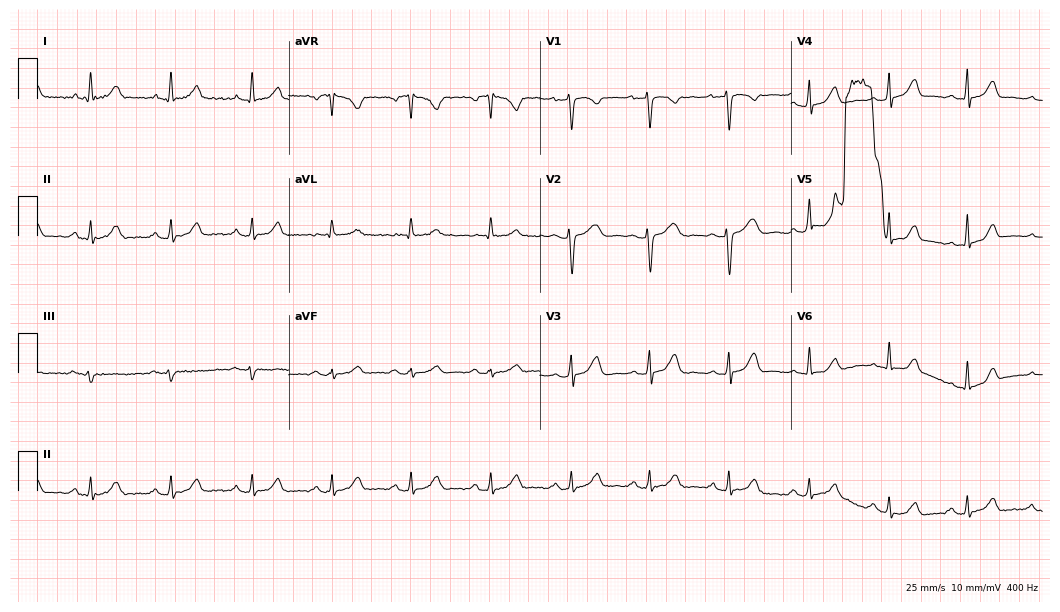
Standard 12-lead ECG recorded from a female, 38 years old (10.2-second recording at 400 Hz). Read as a normal ECG.